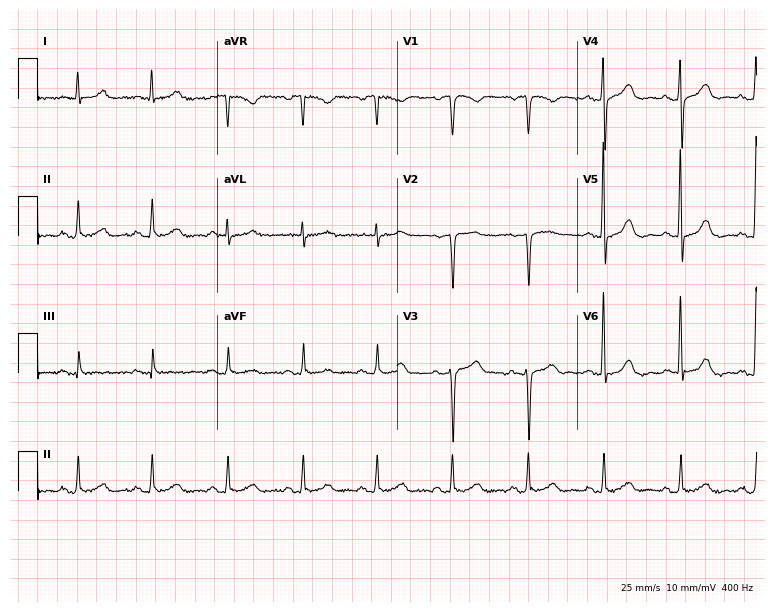
ECG (7.3-second recording at 400 Hz) — a 72-year-old male. Screened for six findings — first-degree AV block, right bundle branch block, left bundle branch block, sinus bradycardia, atrial fibrillation, sinus tachycardia — none is recorded.